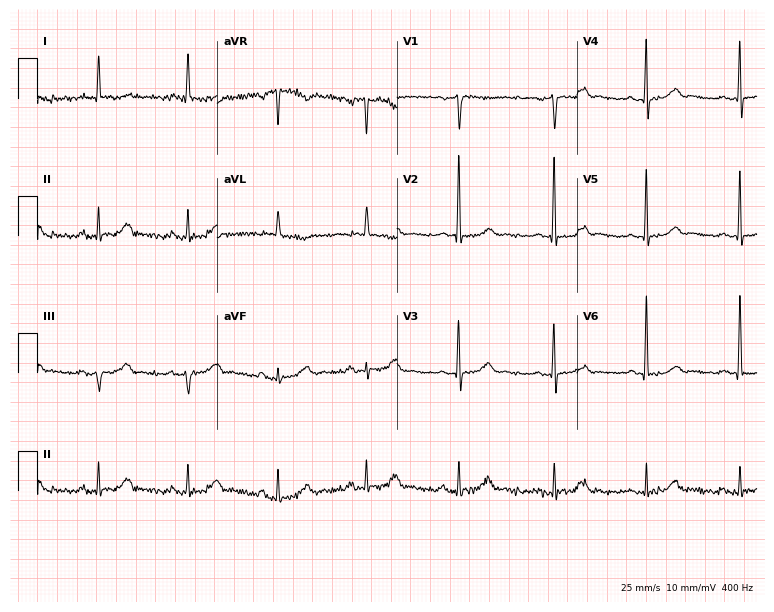
12-lead ECG from a male patient, 79 years old. No first-degree AV block, right bundle branch block (RBBB), left bundle branch block (LBBB), sinus bradycardia, atrial fibrillation (AF) or sinus tachycardia recorded for this tracing.